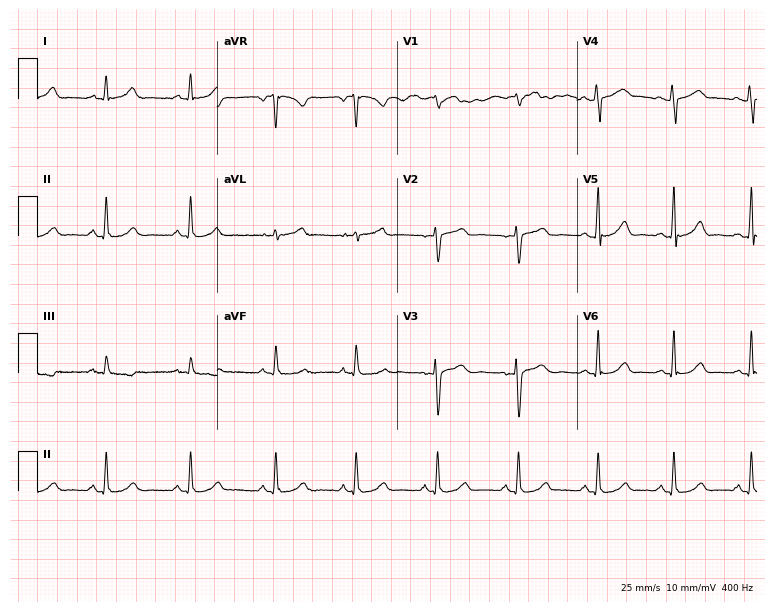
Resting 12-lead electrocardiogram (7.3-second recording at 400 Hz). Patient: a 40-year-old female. Read as a normal ECG.